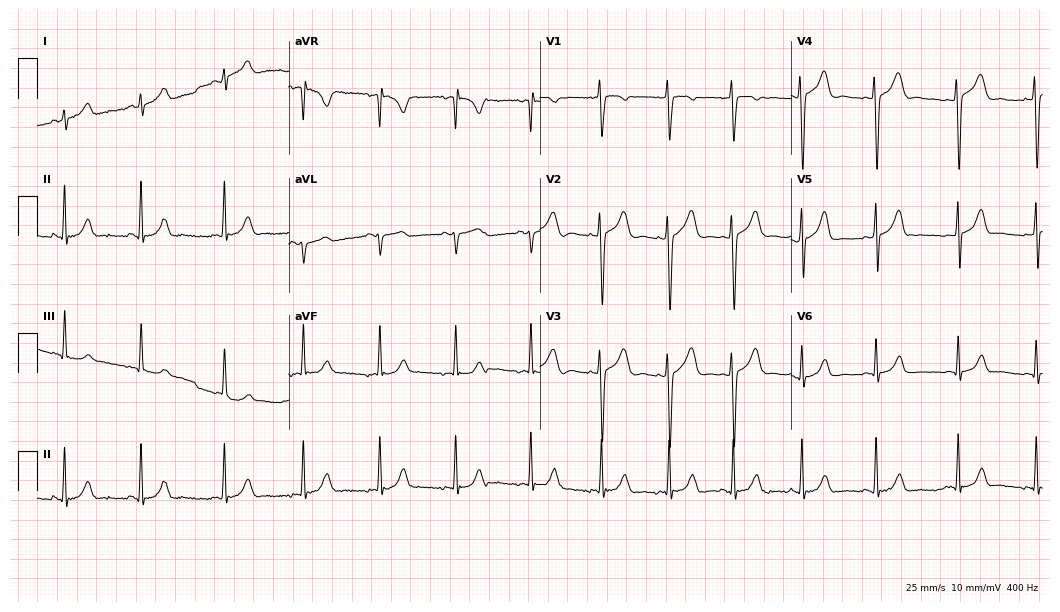
12-lead ECG from a female, 17 years old. Labelled as a normal ECG.